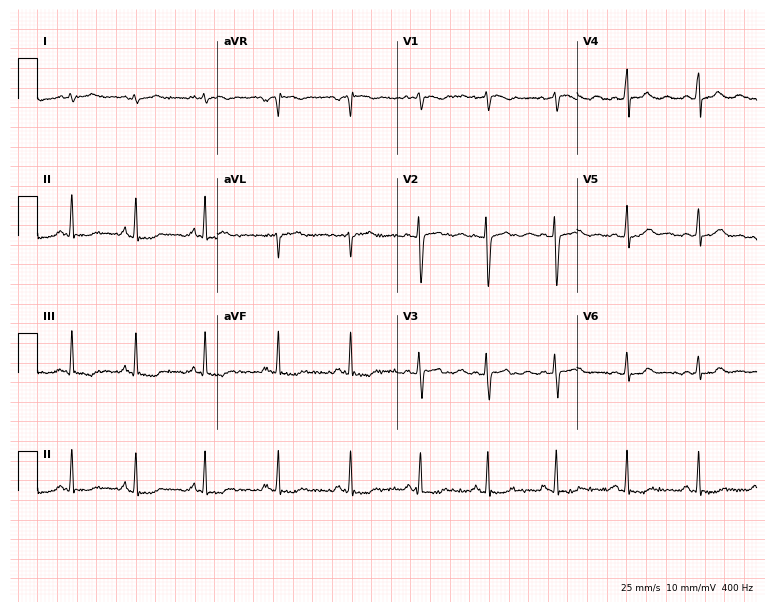
Electrocardiogram, a female, 22 years old. Of the six screened findings (first-degree AV block, right bundle branch block, left bundle branch block, sinus bradycardia, atrial fibrillation, sinus tachycardia), none is recorded. Other findings, if any, are not listed.